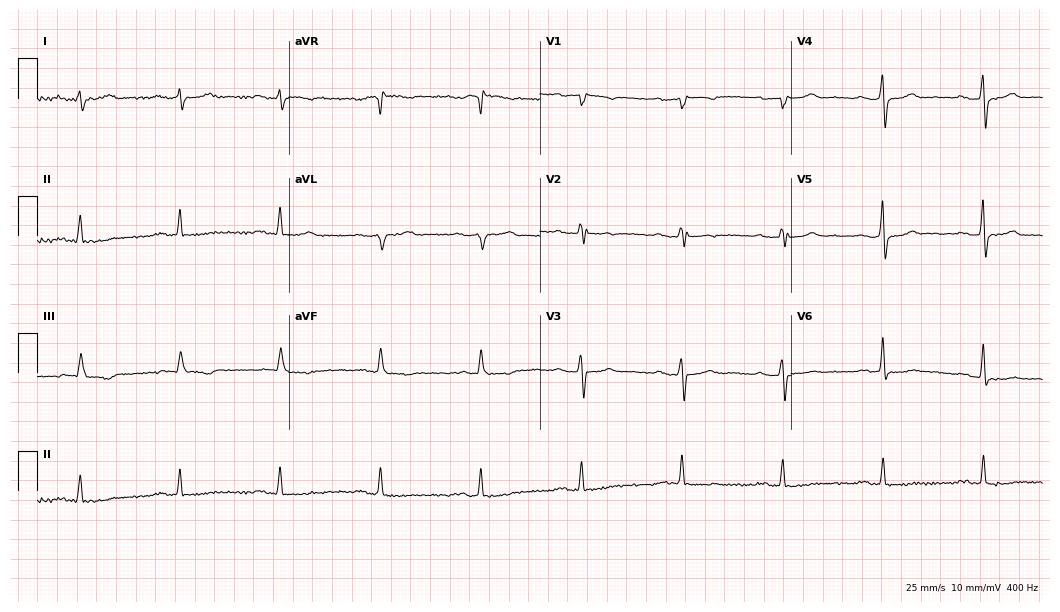
Standard 12-lead ECG recorded from a man aged 90 or older (10.2-second recording at 400 Hz). None of these six findings is recorded: first-degree AV block, right bundle branch block, left bundle branch block, sinus bradycardia, atrial fibrillation, sinus tachycardia. Other findings, if any, are not listed.